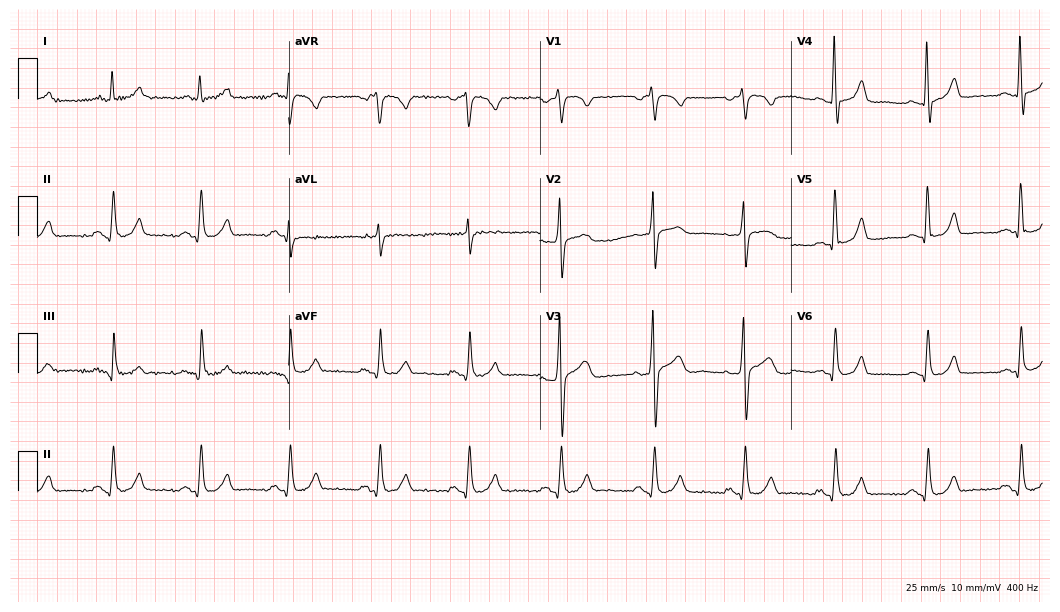
12-lead ECG from a male patient, 55 years old (10.2-second recording at 400 Hz). No first-degree AV block, right bundle branch block, left bundle branch block, sinus bradycardia, atrial fibrillation or sinus tachycardia recorded for this tracing. Findings outside these six are not listed.